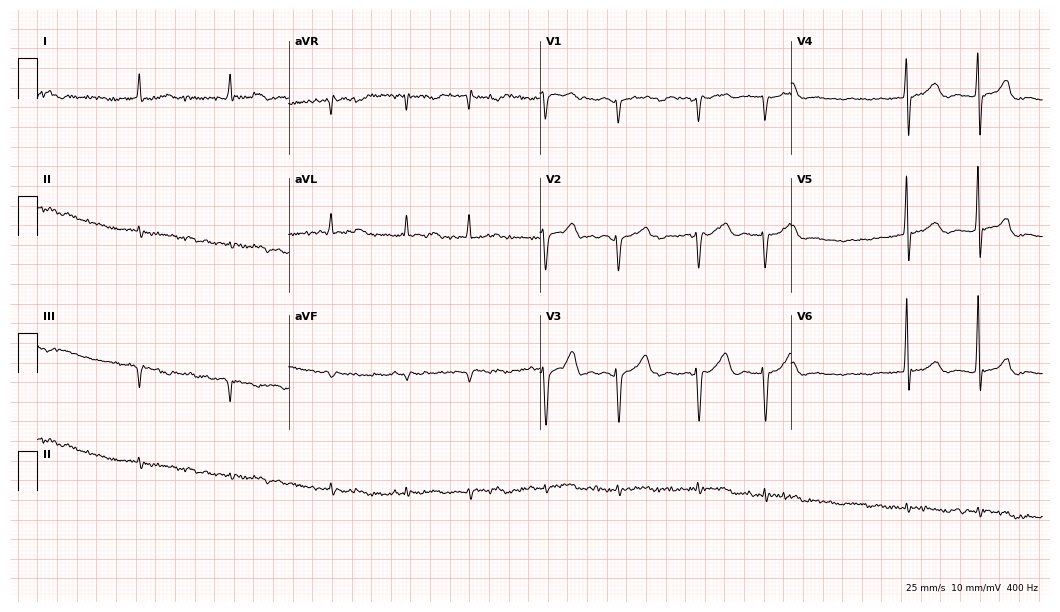
Resting 12-lead electrocardiogram (10.2-second recording at 400 Hz). Patient: a man, 83 years old. None of these six findings is recorded: first-degree AV block, right bundle branch block, left bundle branch block, sinus bradycardia, atrial fibrillation, sinus tachycardia.